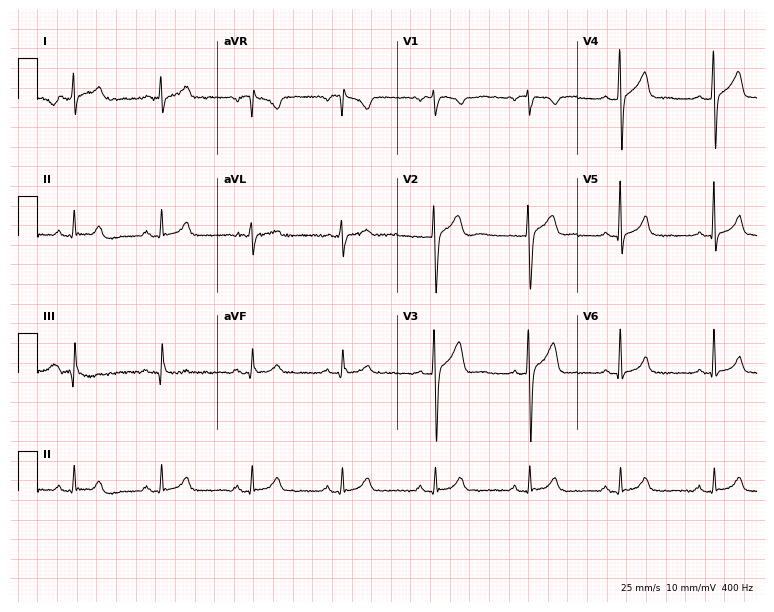
ECG (7.3-second recording at 400 Hz) — a 35-year-old man. Screened for six findings — first-degree AV block, right bundle branch block (RBBB), left bundle branch block (LBBB), sinus bradycardia, atrial fibrillation (AF), sinus tachycardia — none is recorded. Only these six findings were labelled.